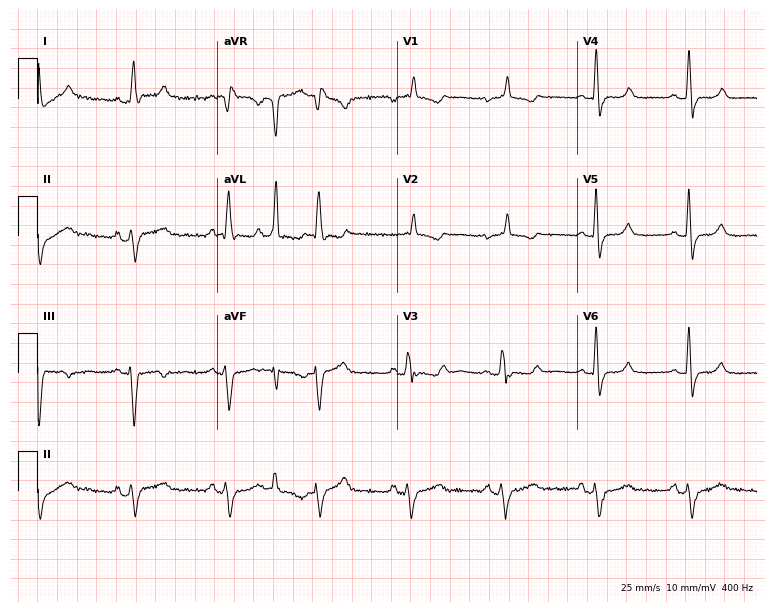
ECG (7.3-second recording at 400 Hz) — a female patient, 72 years old. Findings include right bundle branch block.